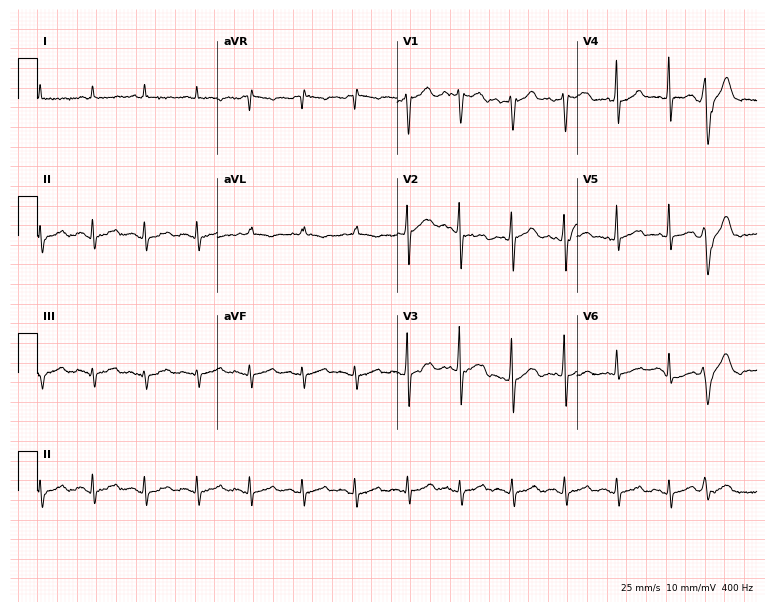
12-lead ECG from an 84-year-old man. Screened for six findings — first-degree AV block, right bundle branch block (RBBB), left bundle branch block (LBBB), sinus bradycardia, atrial fibrillation (AF), sinus tachycardia — none is recorded.